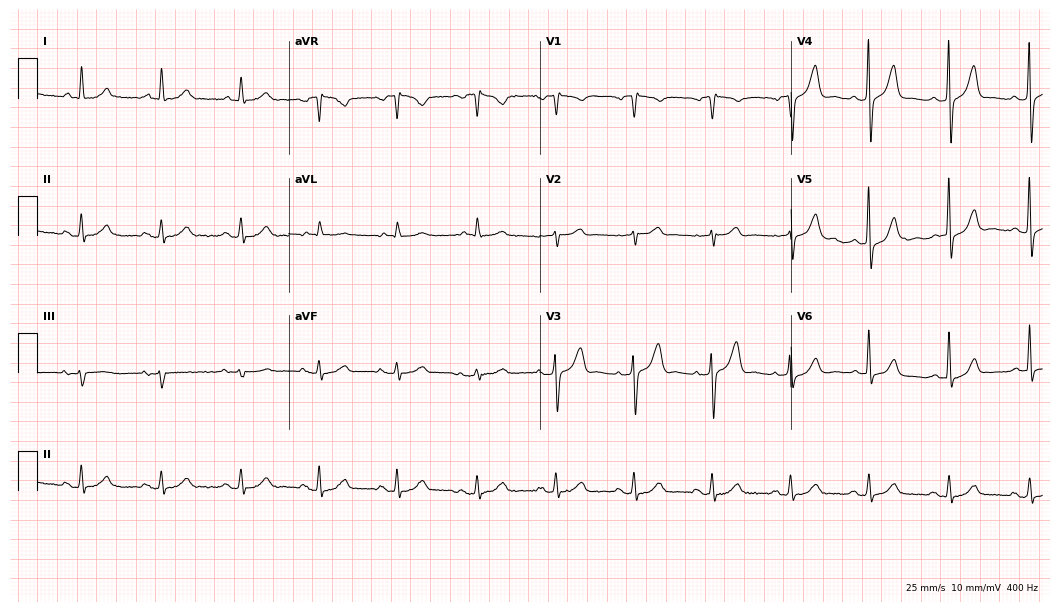
Standard 12-lead ECG recorded from a 69-year-old man. None of these six findings is recorded: first-degree AV block, right bundle branch block, left bundle branch block, sinus bradycardia, atrial fibrillation, sinus tachycardia. Findings outside these six are not listed.